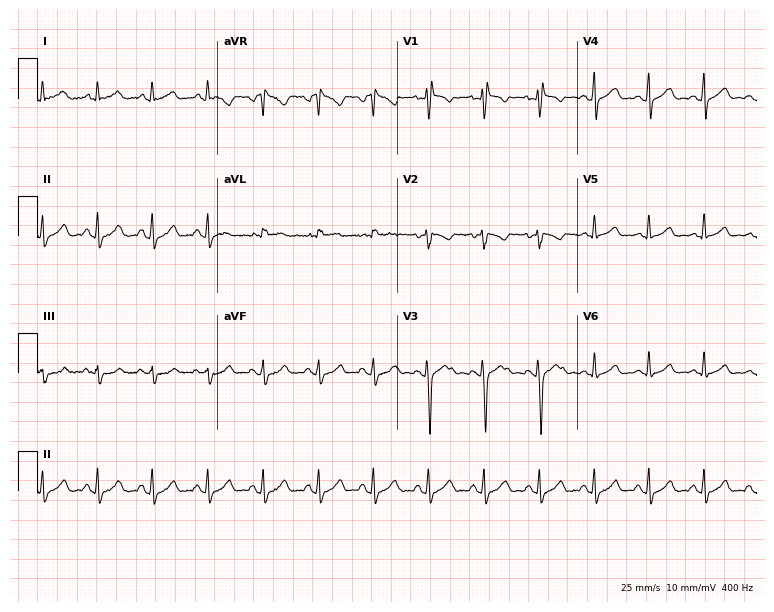
ECG (7.3-second recording at 400 Hz) — an 18-year-old female patient. Screened for six findings — first-degree AV block, right bundle branch block, left bundle branch block, sinus bradycardia, atrial fibrillation, sinus tachycardia — none is recorded. Findings outside these six are not listed.